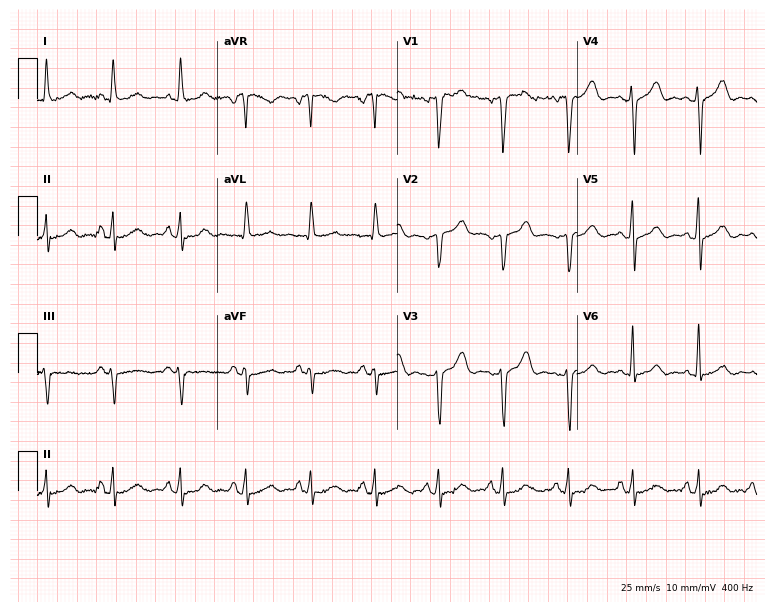
Resting 12-lead electrocardiogram. Patient: a female, 47 years old. None of these six findings is recorded: first-degree AV block, right bundle branch block (RBBB), left bundle branch block (LBBB), sinus bradycardia, atrial fibrillation (AF), sinus tachycardia. Findings outside these six are not listed.